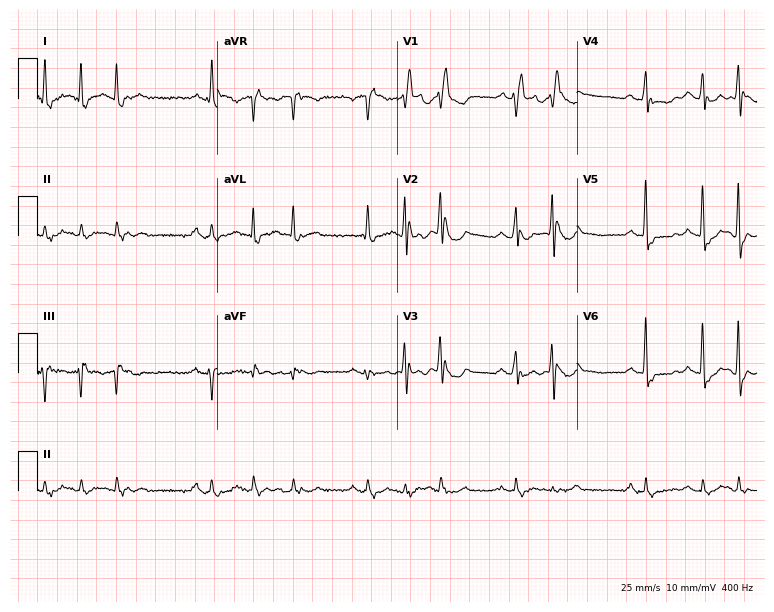
ECG — a male patient, 80 years old. Findings include right bundle branch block (RBBB).